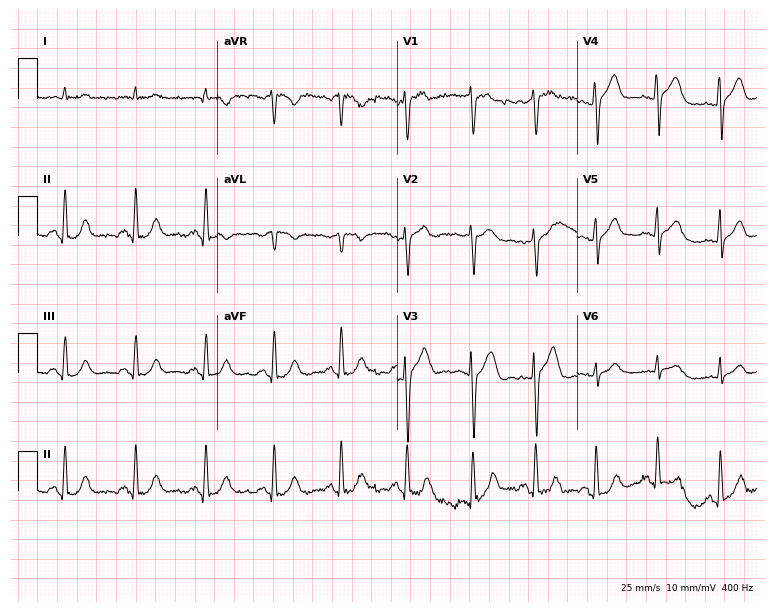
ECG — a female patient, 71 years old. Labelled as a normal ECG.